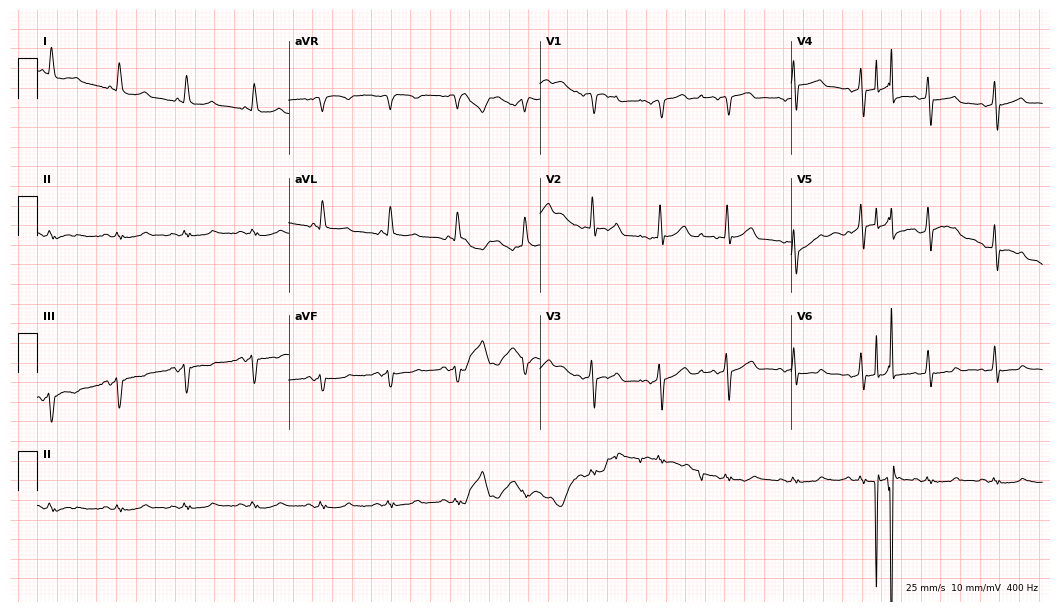
12-lead ECG from a male, 82 years old (10.2-second recording at 400 Hz). No first-degree AV block, right bundle branch block (RBBB), left bundle branch block (LBBB), sinus bradycardia, atrial fibrillation (AF) or sinus tachycardia recorded for this tracing.